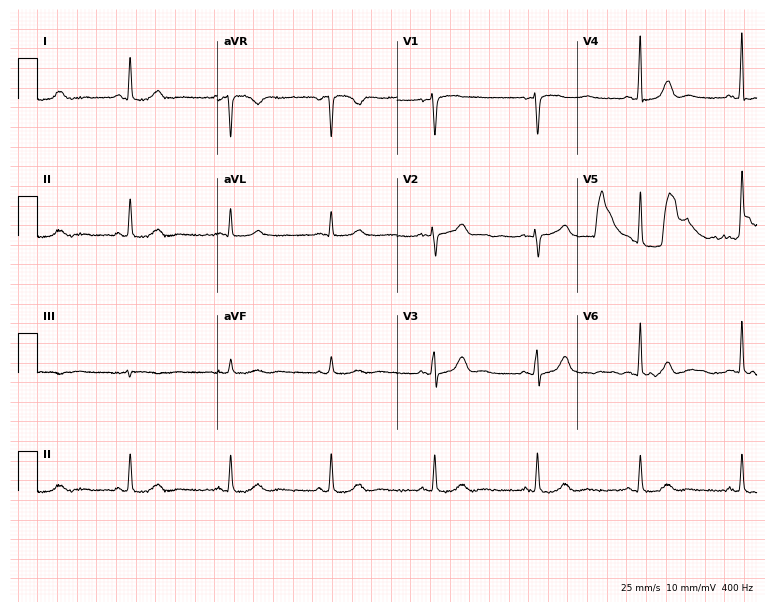
12-lead ECG from a female, 53 years old. Labelled as a normal ECG.